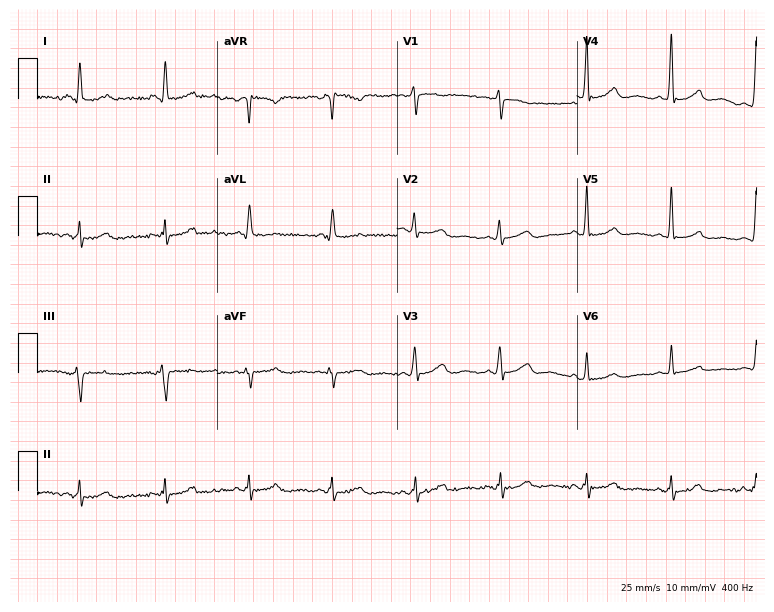
Standard 12-lead ECG recorded from a woman, 71 years old (7.3-second recording at 400 Hz). None of these six findings is recorded: first-degree AV block, right bundle branch block, left bundle branch block, sinus bradycardia, atrial fibrillation, sinus tachycardia.